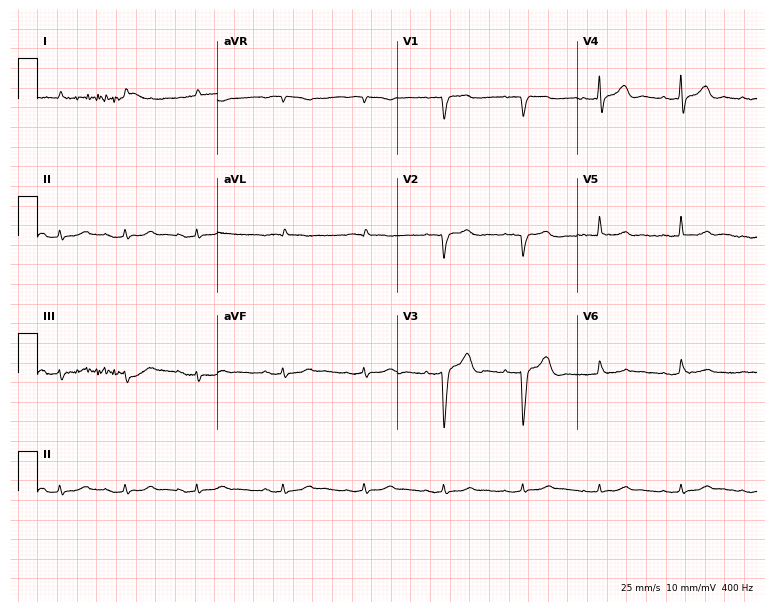
12-lead ECG from a man, 83 years old (7.3-second recording at 400 Hz). Recorded interpretation: within normal limits.